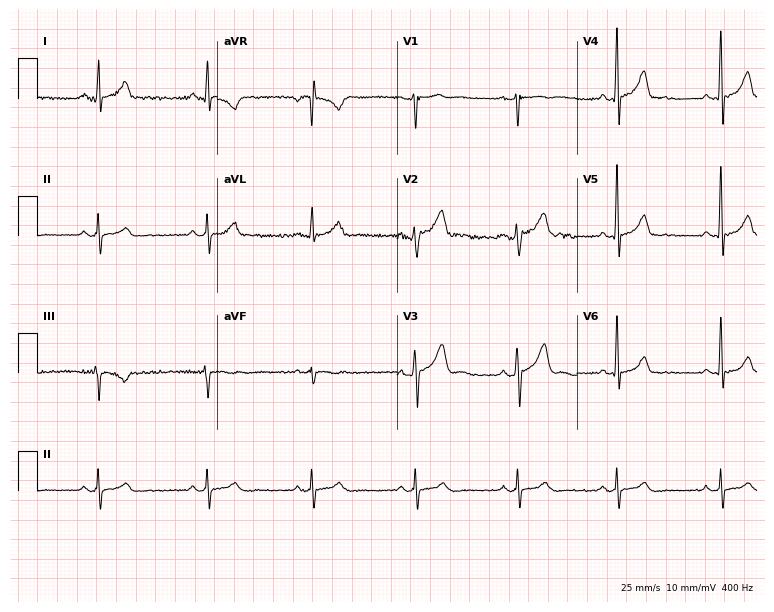
Standard 12-lead ECG recorded from a 35-year-old male patient. Read as a normal ECG.